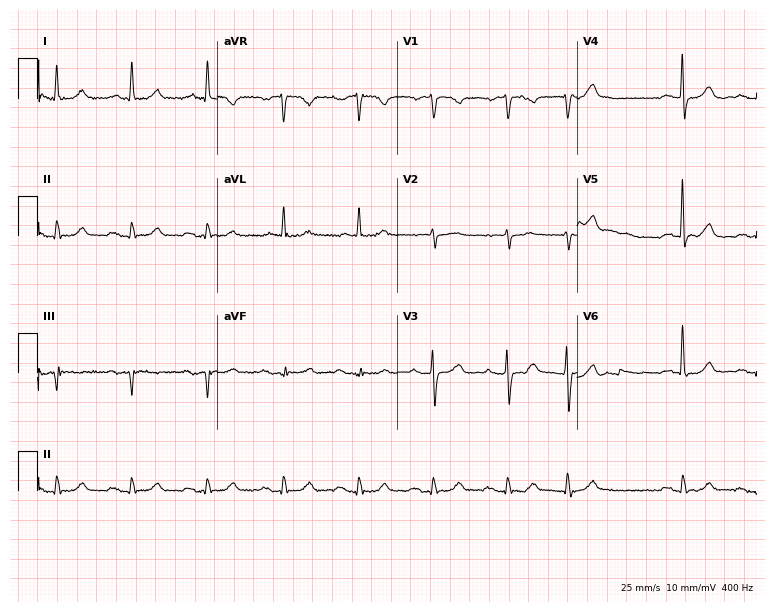
ECG (7.3-second recording at 400 Hz) — a 73-year-old woman. Labelled as a normal ECG.